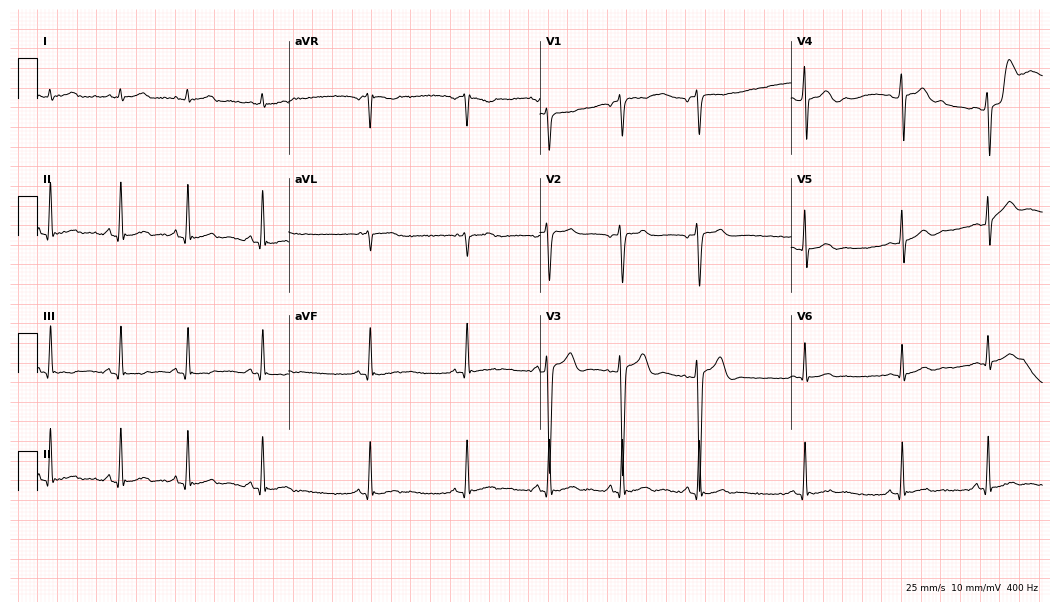
12-lead ECG from a 17-year-old male. Screened for six findings — first-degree AV block, right bundle branch block, left bundle branch block, sinus bradycardia, atrial fibrillation, sinus tachycardia — none is recorded. Only these six findings were labelled.